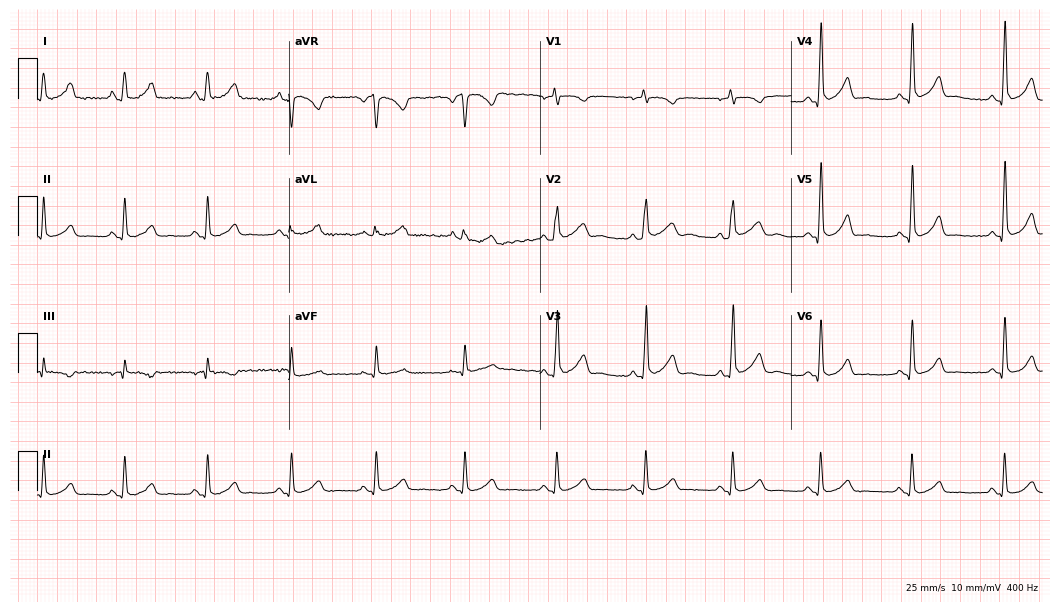
ECG (10.2-second recording at 400 Hz) — a 47-year-old female patient. Labelled as a normal ECG.